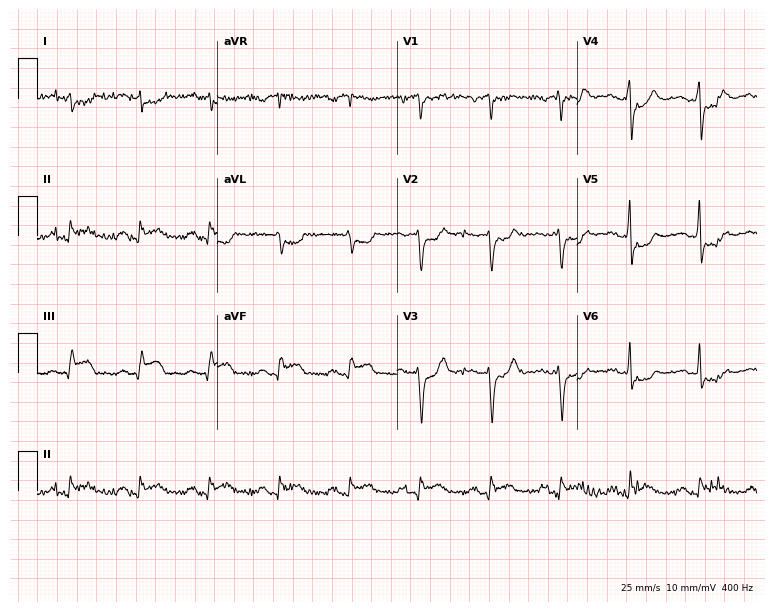
Standard 12-lead ECG recorded from a 58-year-old male (7.3-second recording at 400 Hz). None of these six findings is recorded: first-degree AV block, right bundle branch block (RBBB), left bundle branch block (LBBB), sinus bradycardia, atrial fibrillation (AF), sinus tachycardia.